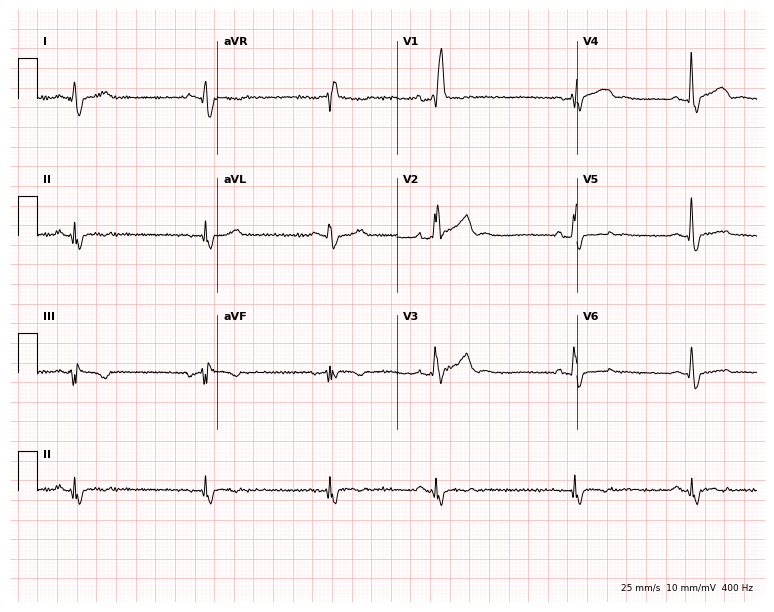
12-lead ECG from a male, 41 years old (7.3-second recording at 400 Hz). No first-degree AV block, right bundle branch block, left bundle branch block, sinus bradycardia, atrial fibrillation or sinus tachycardia recorded for this tracing.